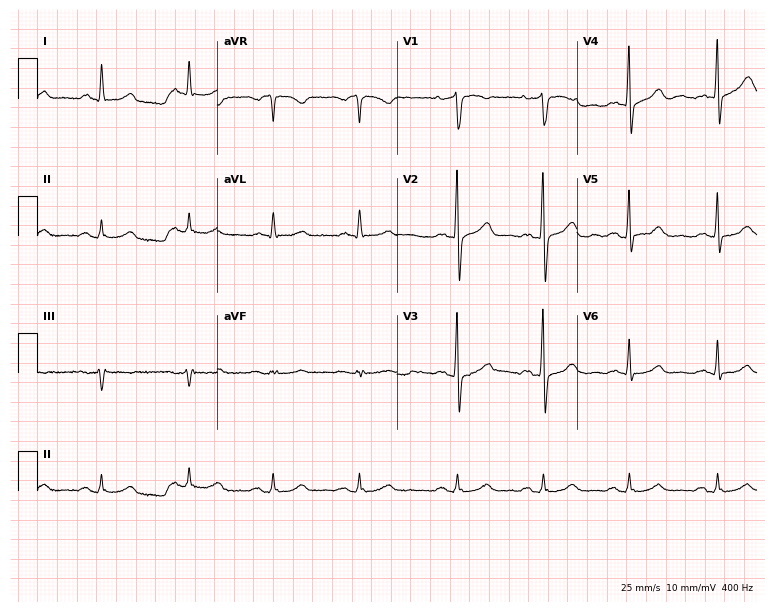
Electrocardiogram (7.3-second recording at 400 Hz), a 71-year-old man. Of the six screened findings (first-degree AV block, right bundle branch block, left bundle branch block, sinus bradycardia, atrial fibrillation, sinus tachycardia), none is recorded. Other findings, if any, are not listed.